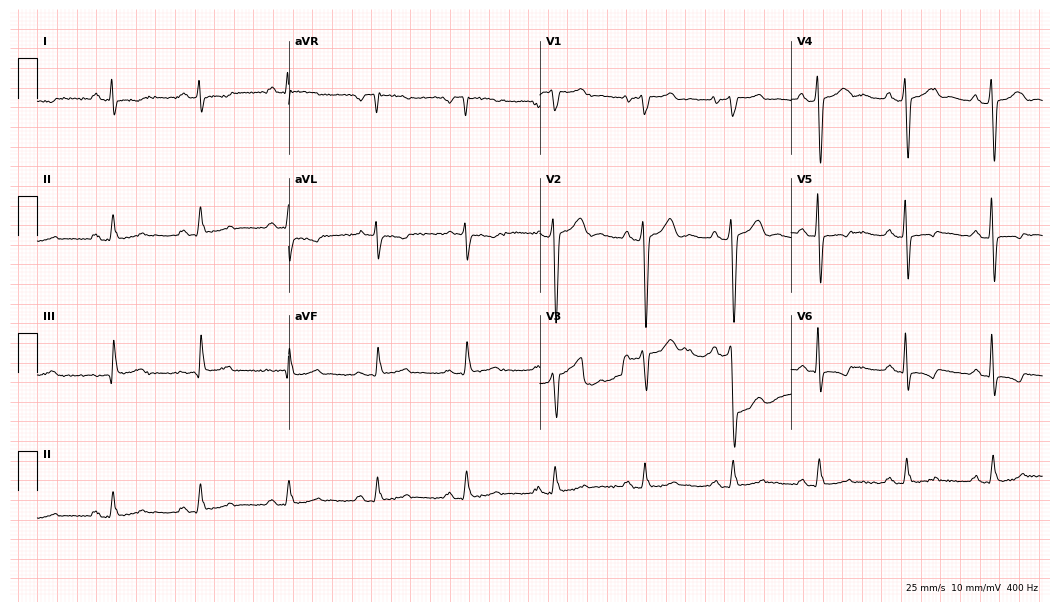
12-lead ECG from a man, 39 years old. No first-degree AV block, right bundle branch block (RBBB), left bundle branch block (LBBB), sinus bradycardia, atrial fibrillation (AF) or sinus tachycardia recorded for this tracing. Other findings, if any, are not listed.